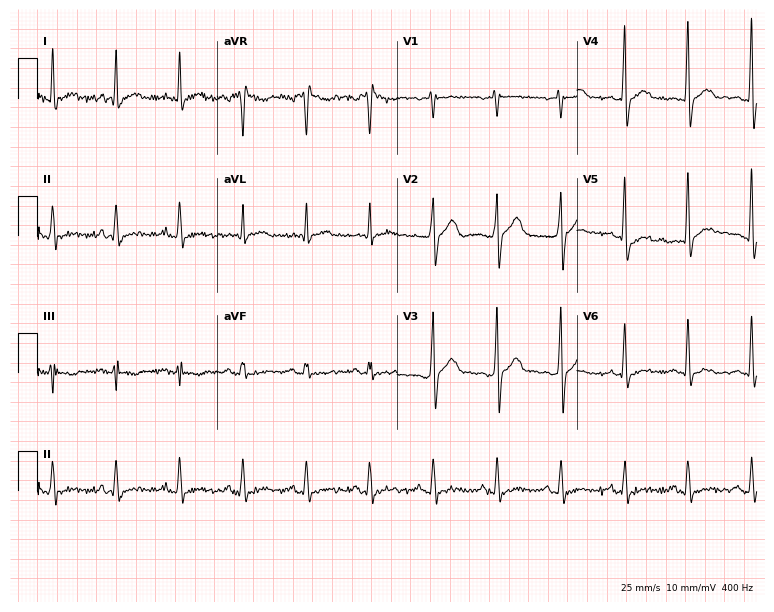
12-lead ECG (7.3-second recording at 400 Hz) from a male, 44 years old. Labelled as a normal ECG.